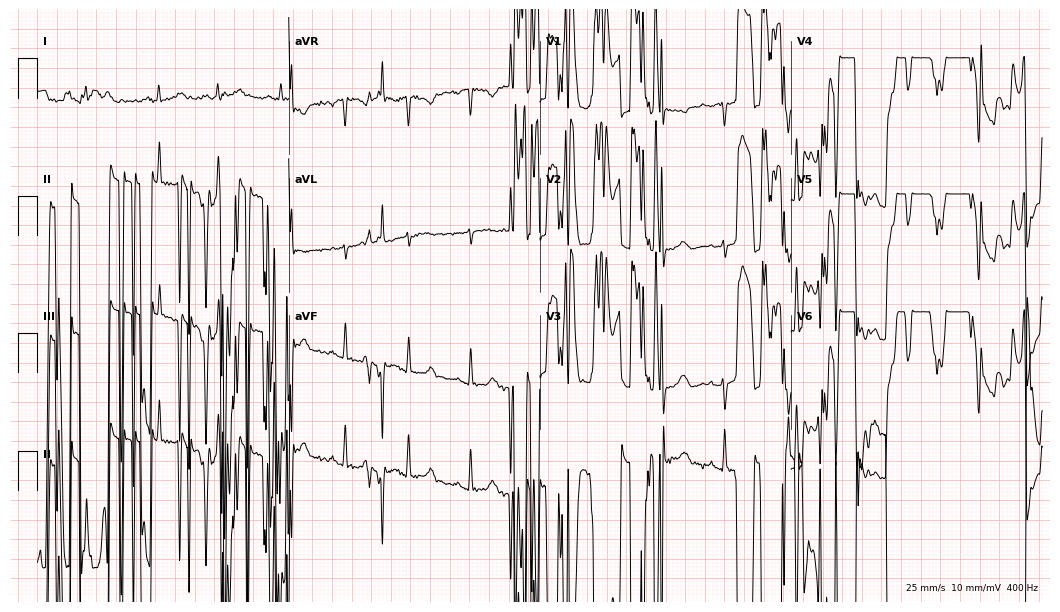
Standard 12-lead ECG recorded from a woman, 49 years old. None of these six findings is recorded: first-degree AV block, right bundle branch block (RBBB), left bundle branch block (LBBB), sinus bradycardia, atrial fibrillation (AF), sinus tachycardia. Other findings, if any, are not listed.